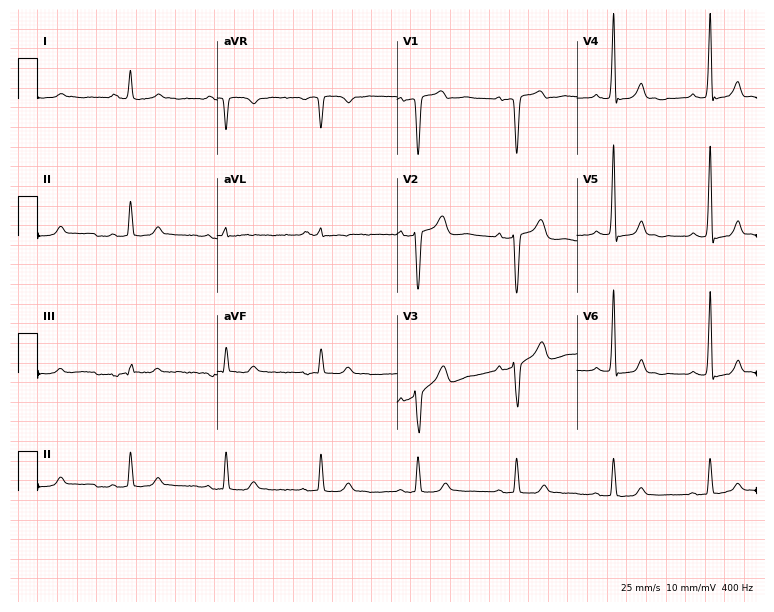
Standard 12-lead ECG recorded from a male, 73 years old (7.3-second recording at 400 Hz). None of these six findings is recorded: first-degree AV block, right bundle branch block, left bundle branch block, sinus bradycardia, atrial fibrillation, sinus tachycardia. Findings outside these six are not listed.